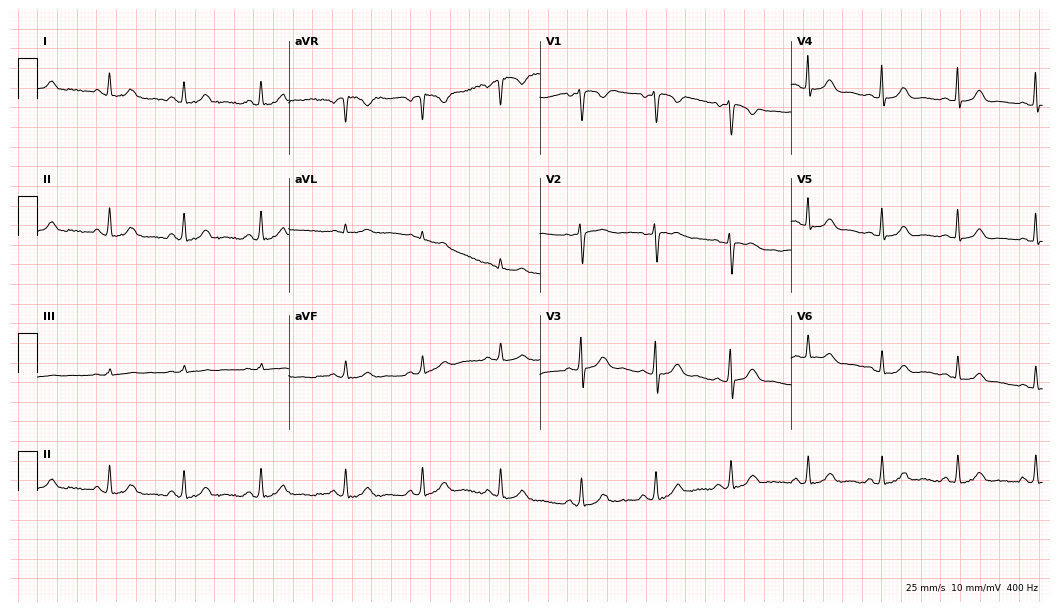
Resting 12-lead electrocardiogram (10.2-second recording at 400 Hz). Patient: a 37-year-old female. Read as a normal ECG.